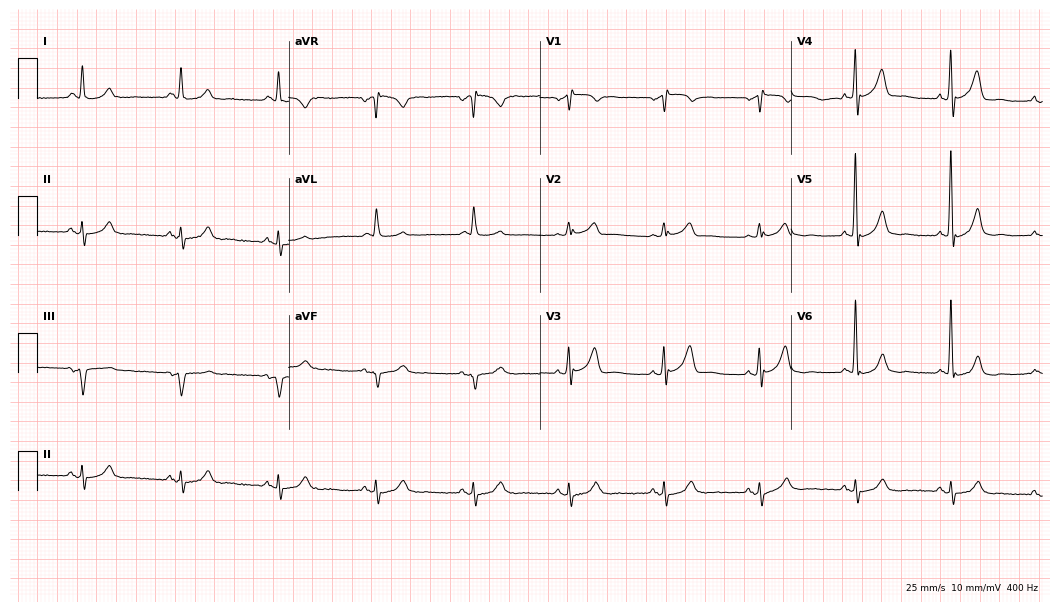
Standard 12-lead ECG recorded from a 65-year-old man. None of these six findings is recorded: first-degree AV block, right bundle branch block (RBBB), left bundle branch block (LBBB), sinus bradycardia, atrial fibrillation (AF), sinus tachycardia.